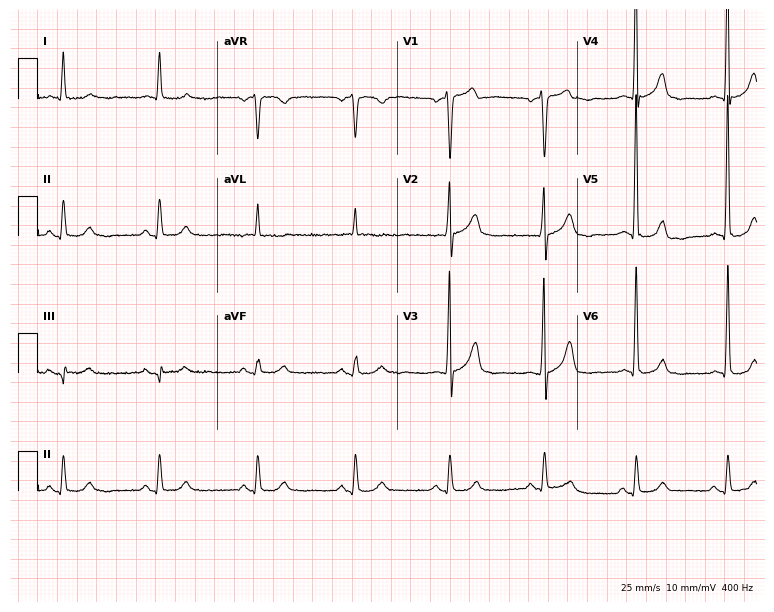
ECG — a 75-year-old male patient. Labelled as a normal ECG.